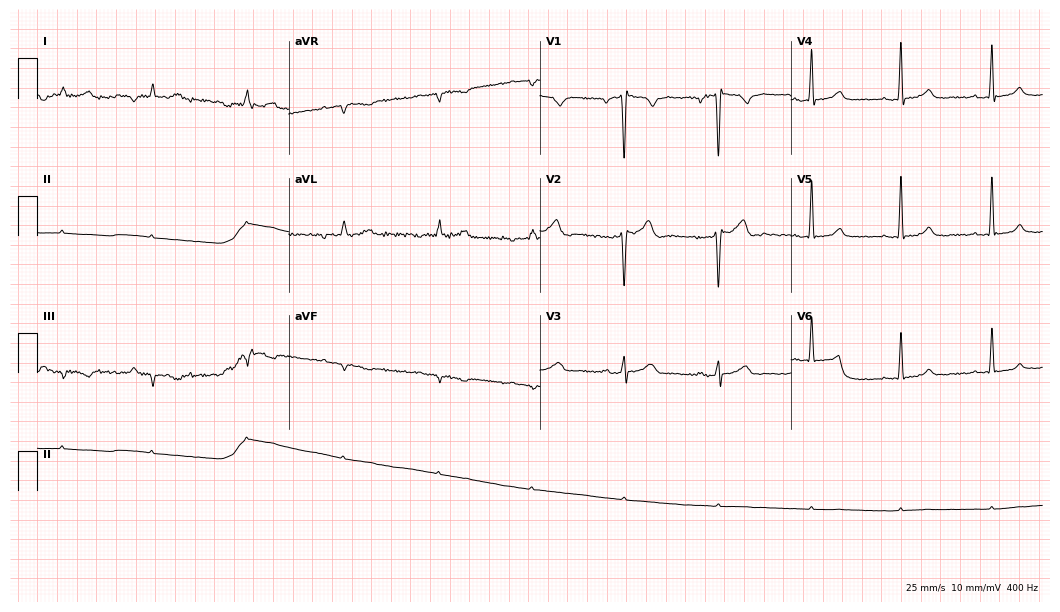
12-lead ECG from a 48-year-old woman. No first-degree AV block, right bundle branch block, left bundle branch block, sinus bradycardia, atrial fibrillation or sinus tachycardia recorded for this tracing. Findings outside these six are not listed.